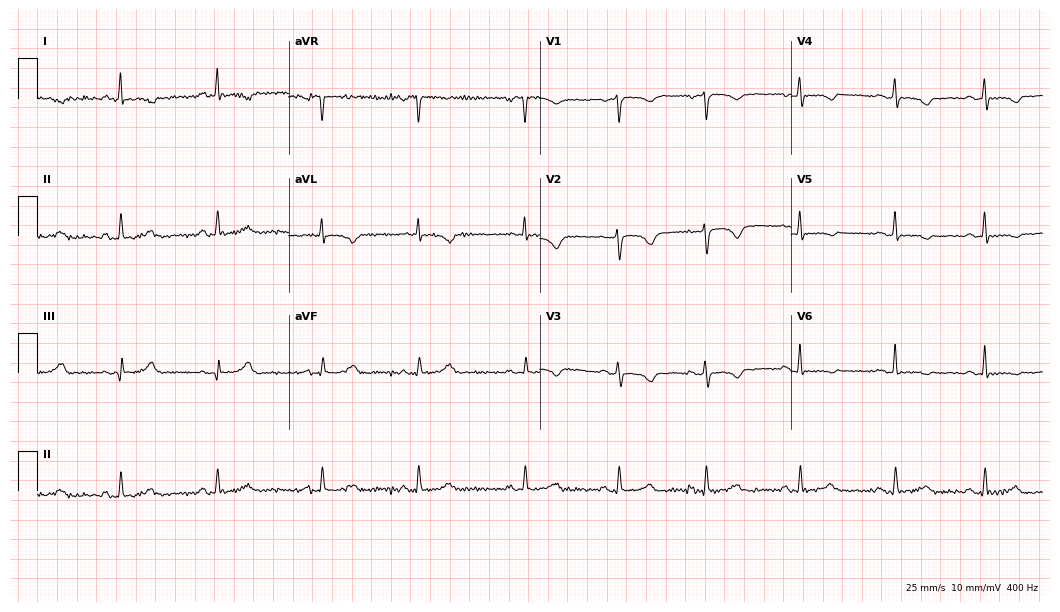
Resting 12-lead electrocardiogram. Patient: a 46-year-old female. Read as a normal ECG.